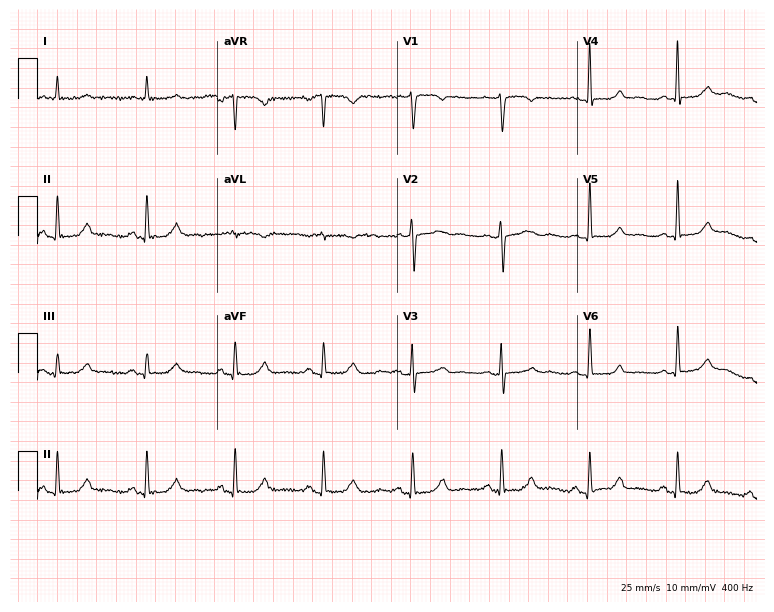
Resting 12-lead electrocardiogram. Patient: a 64-year-old female. Read as a normal ECG.